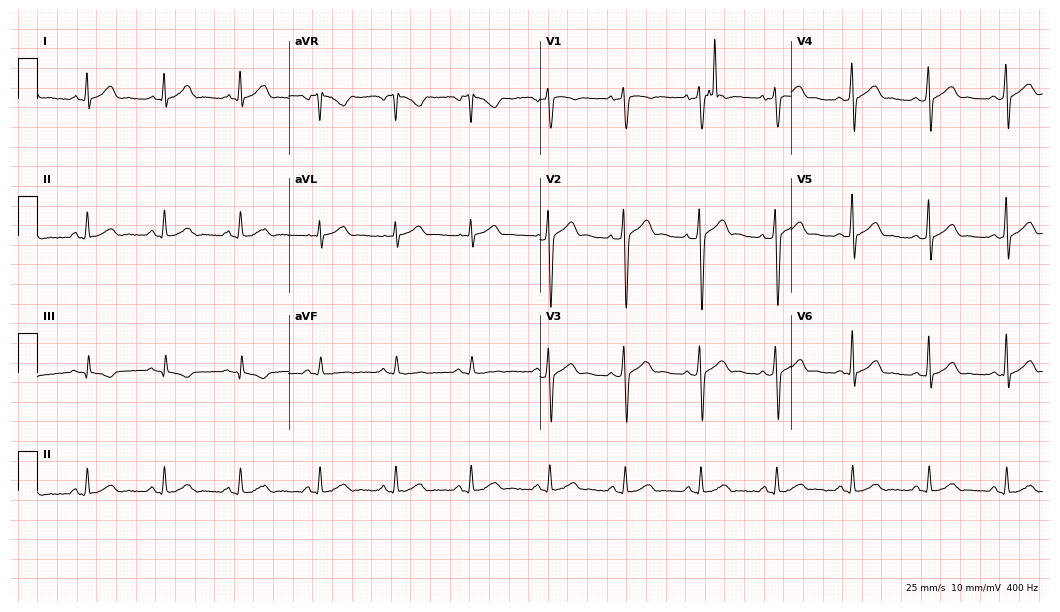
12-lead ECG (10.2-second recording at 400 Hz) from a 19-year-old male patient. Labelled as a normal ECG.